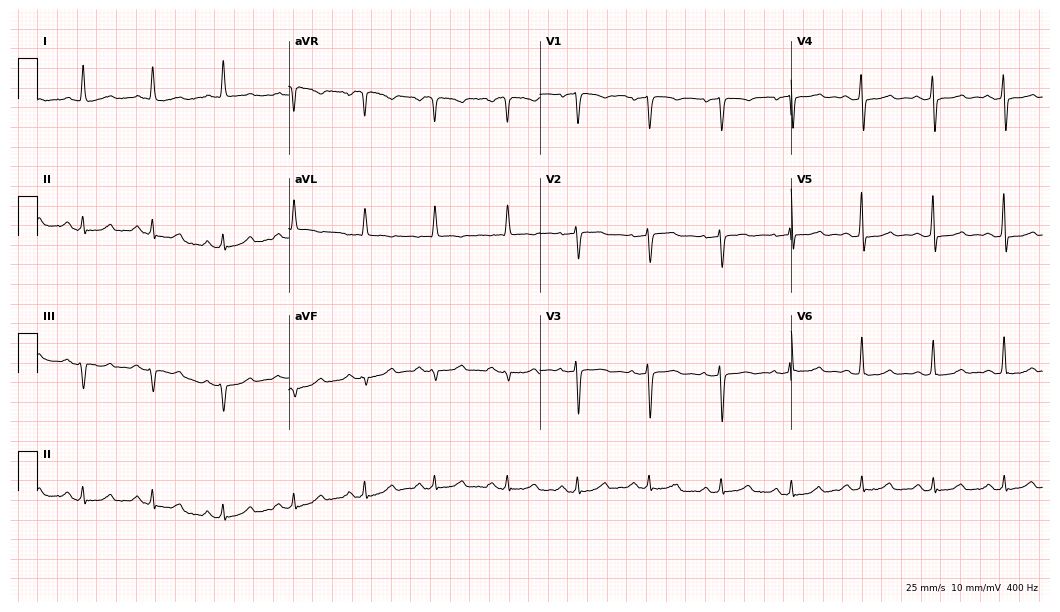
Electrocardiogram, a male, 24 years old. Overall reading on record: normal ECG.